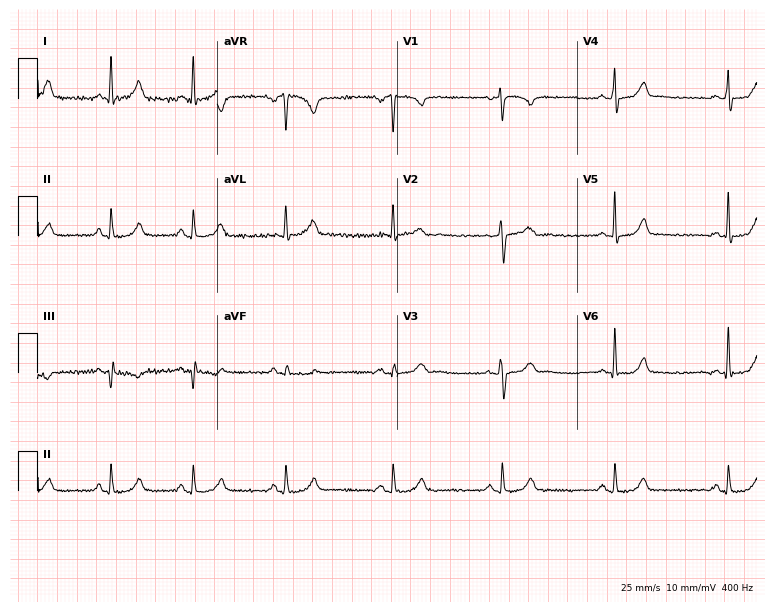
Resting 12-lead electrocardiogram (7.3-second recording at 400 Hz). Patient: a 53-year-old female. Read as a normal ECG.